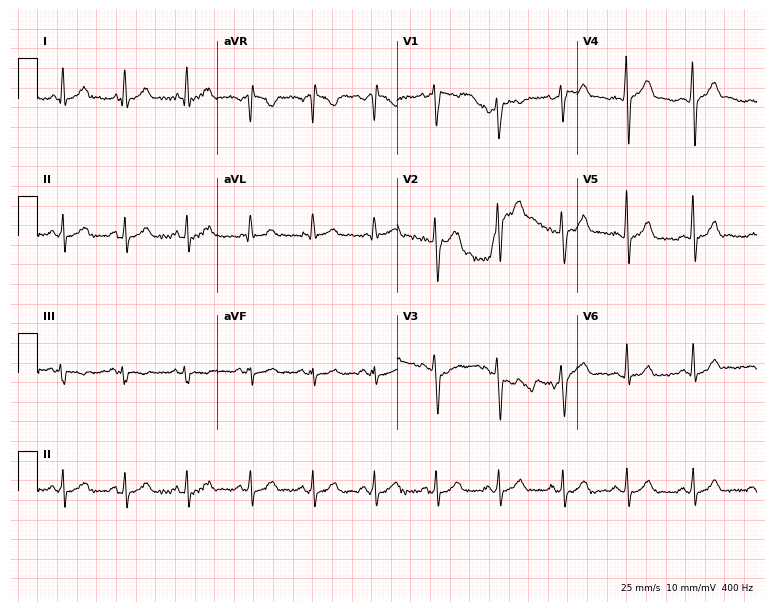
Electrocardiogram (7.3-second recording at 400 Hz), a 38-year-old man. Overall reading on record: normal ECG.